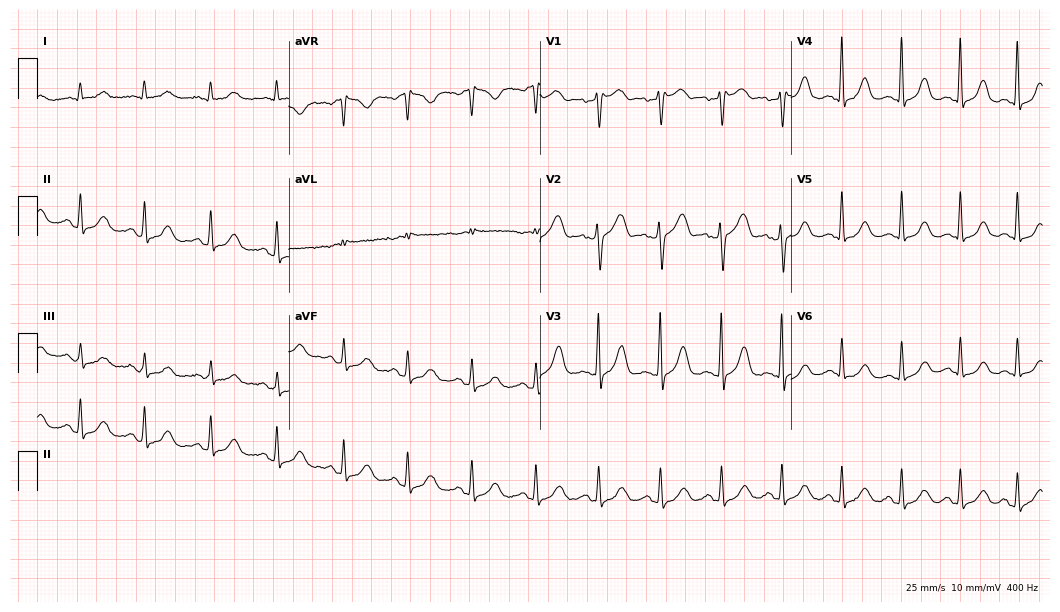
Resting 12-lead electrocardiogram (10.2-second recording at 400 Hz). Patient: a male, 65 years old. Read as a normal ECG.